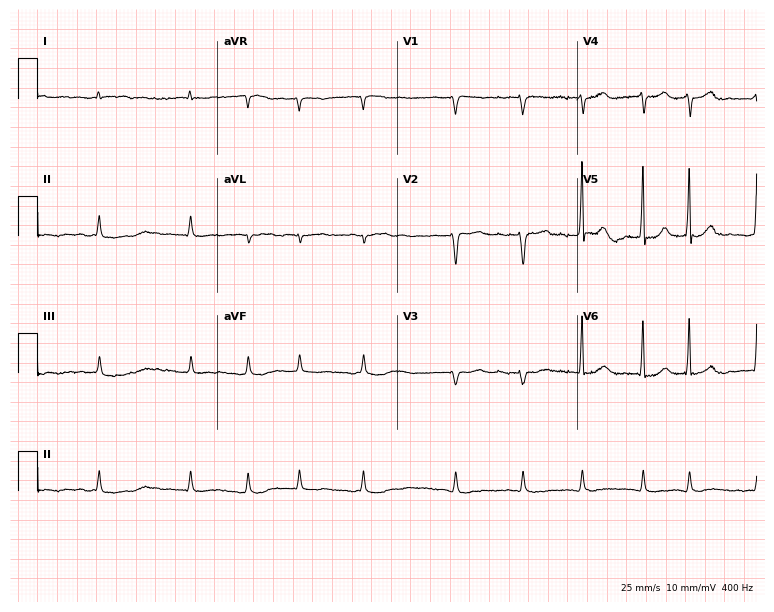
12-lead ECG (7.3-second recording at 400 Hz) from a man, 69 years old. Findings include atrial fibrillation.